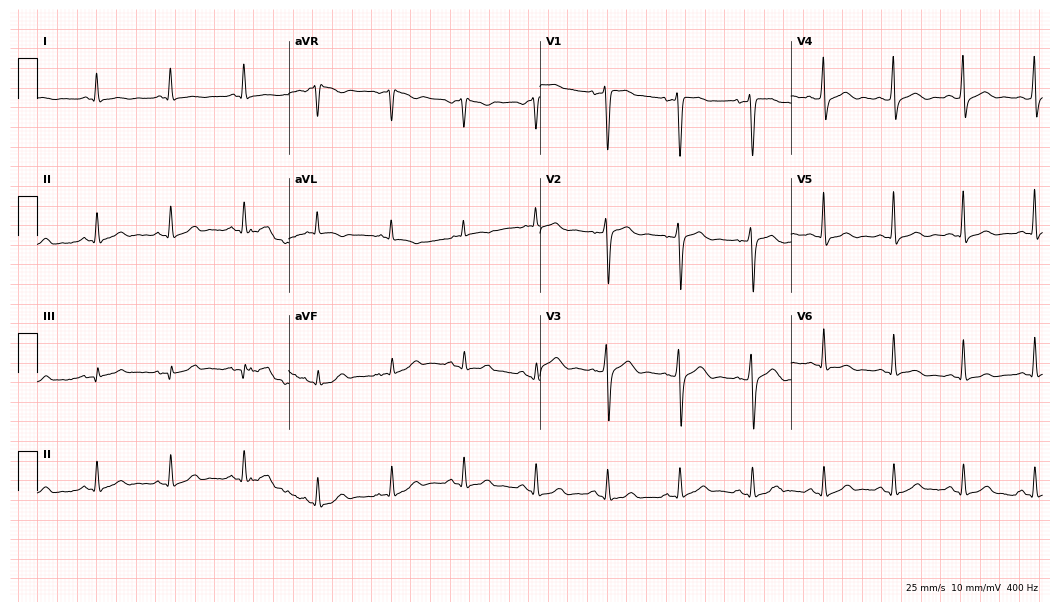
Electrocardiogram (10.2-second recording at 400 Hz), a male patient, 33 years old. Of the six screened findings (first-degree AV block, right bundle branch block, left bundle branch block, sinus bradycardia, atrial fibrillation, sinus tachycardia), none is recorded.